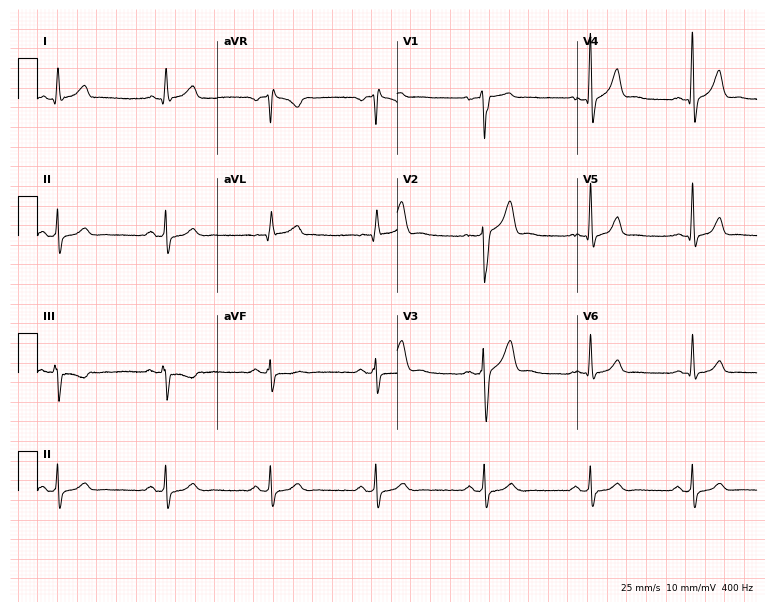
12-lead ECG from a 24-year-old male patient. No first-degree AV block, right bundle branch block, left bundle branch block, sinus bradycardia, atrial fibrillation or sinus tachycardia recorded for this tracing. Findings outside these six are not listed.